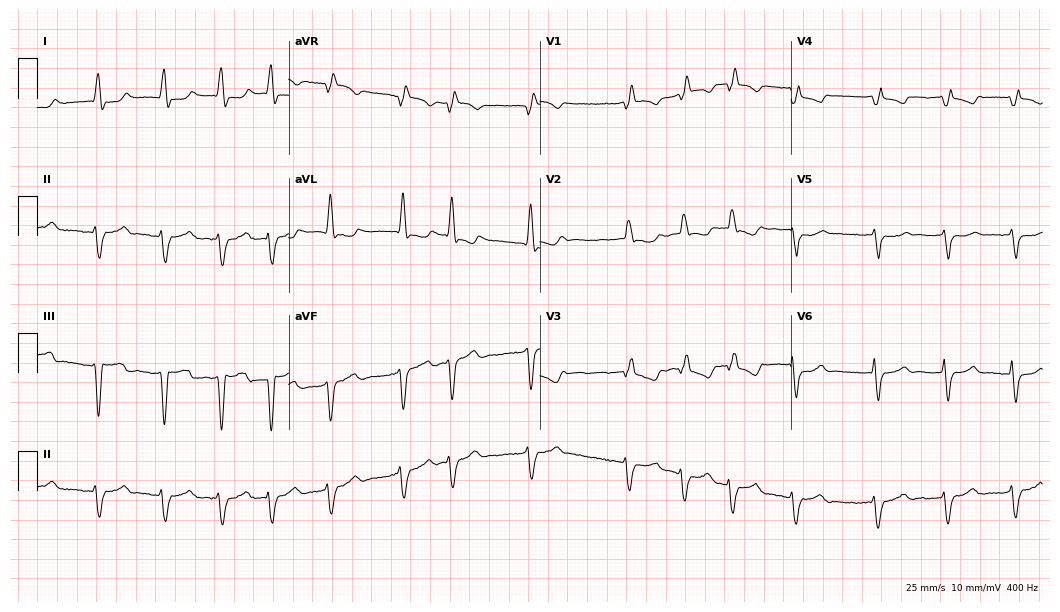
12-lead ECG from a 57-year-old woman. Shows right bundle branch block, atrial fibrillation.